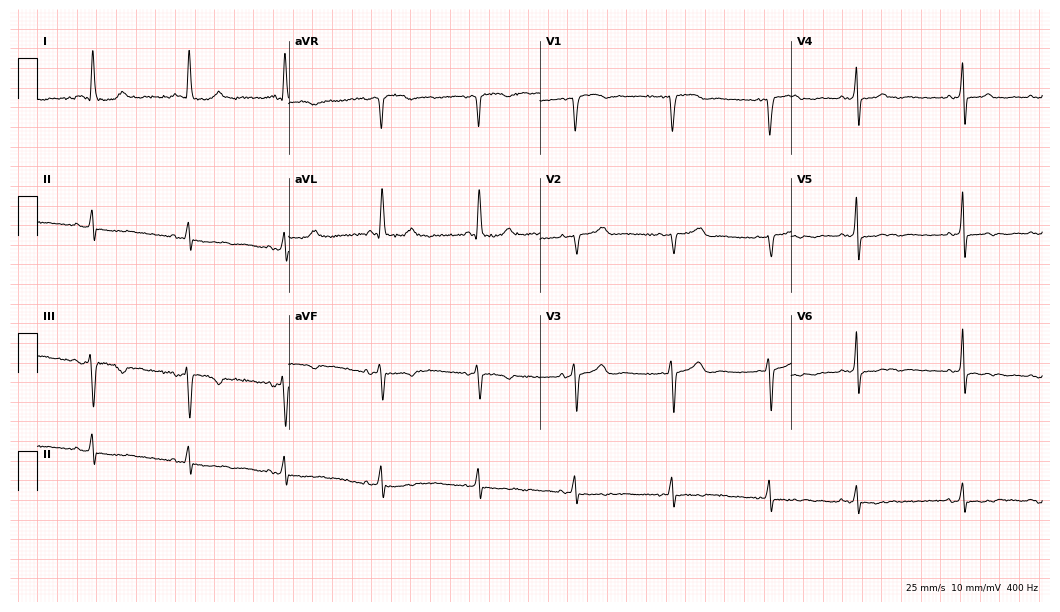
12-lead ECG (10.2-second recording at 400 Hz) from a 71-year-old female. Screened for six findings — first-degree AV block, right bundle branch block, left bundle branch block, sinus bradycardia, atrial fibrillation, sinus tachycardia — none is recorded. Findings outside these six are not listed.